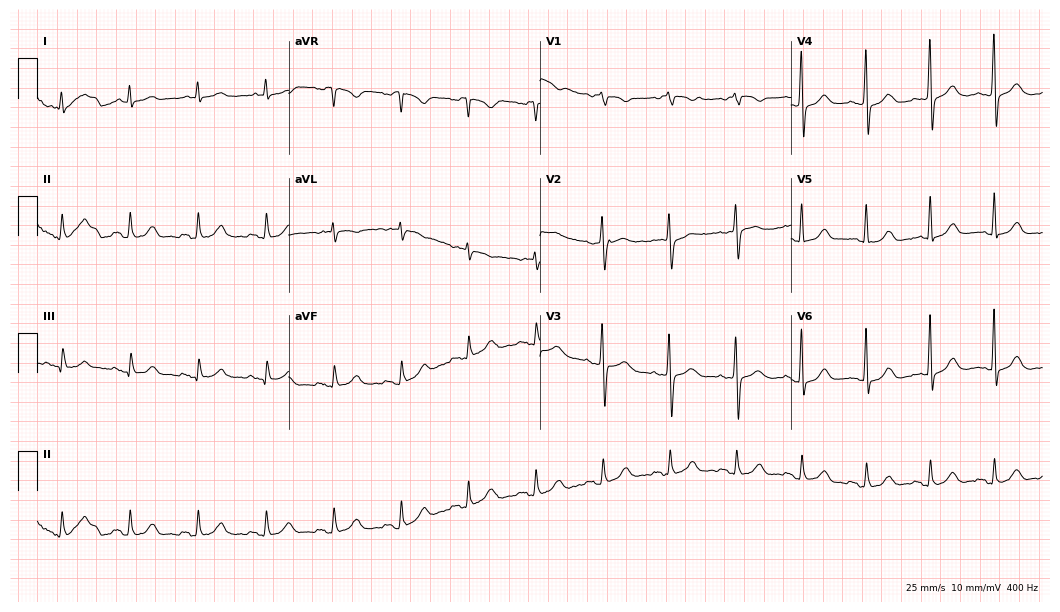
12-lead ECG from a female, 70 years old. Recorded interpretation: within normal limits.